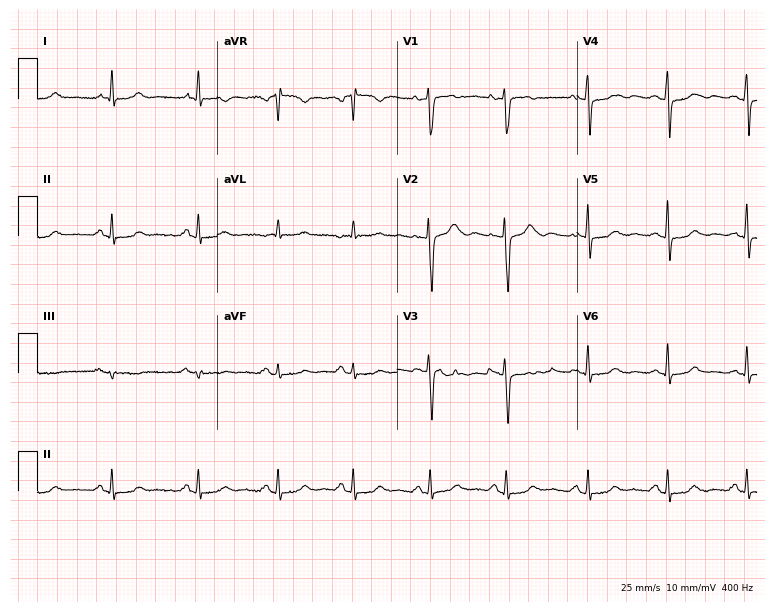
12-lead ECG from a female, 49 years old. Screened for six findings — first-degree AV block, right bundle branch block, left bundle branch block, sinus bradycardia, atrial fibrillation, sinus tachycardia — none is recorded. Findings outside these six are not listed.